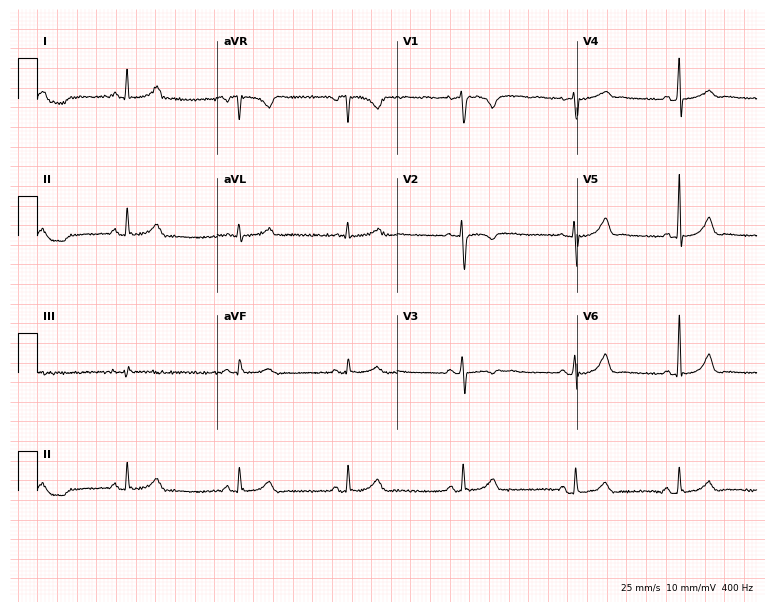
12-lead ECG from a 24-year-old woman. Recorded interpretation: within normal limits.